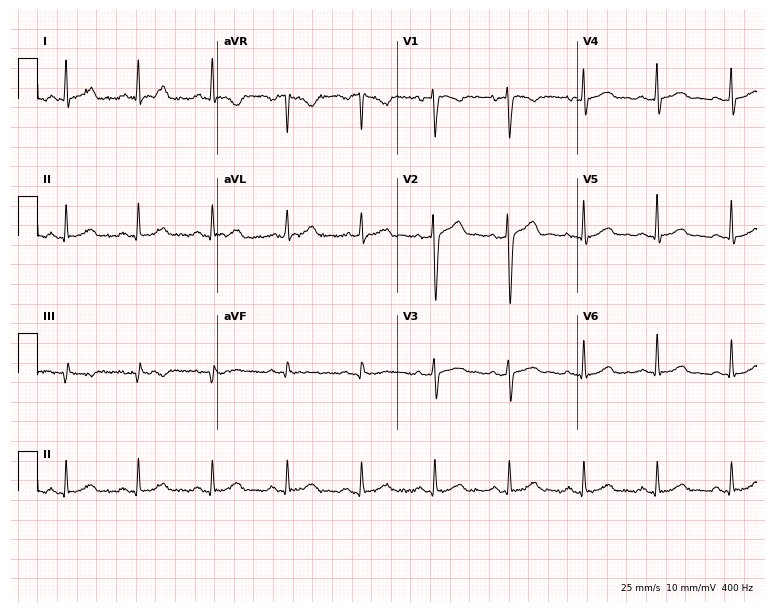
12-lead ECG from a 49-year-old man. Recorded interpretation: within normal limits.